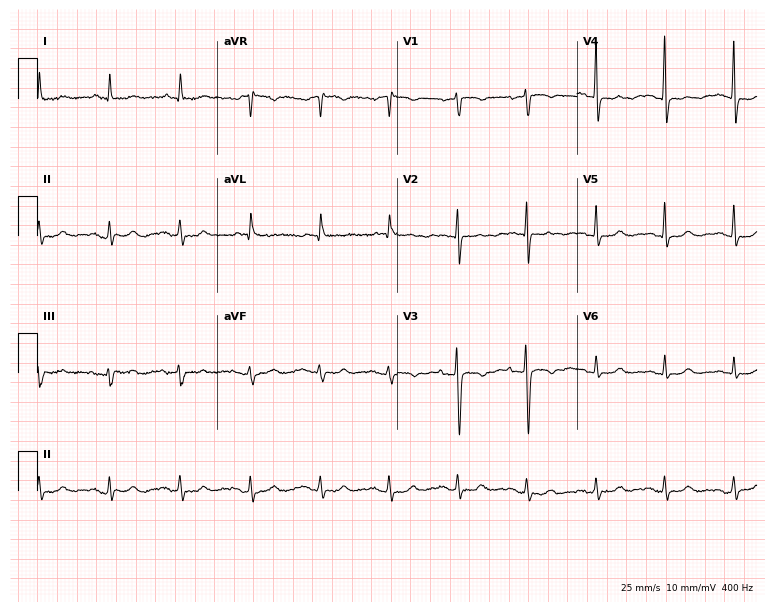
12-lead ECG (7.3-second recording at 400 Hz) from a 71-year-old female patient. Screened for six findings — first-degree AV block, right bundle branch block, left bundle branch block, sinus bradycardia, atrial fibrillation, sinus tachycardia — none is recorded. Only these six findings were labelled.